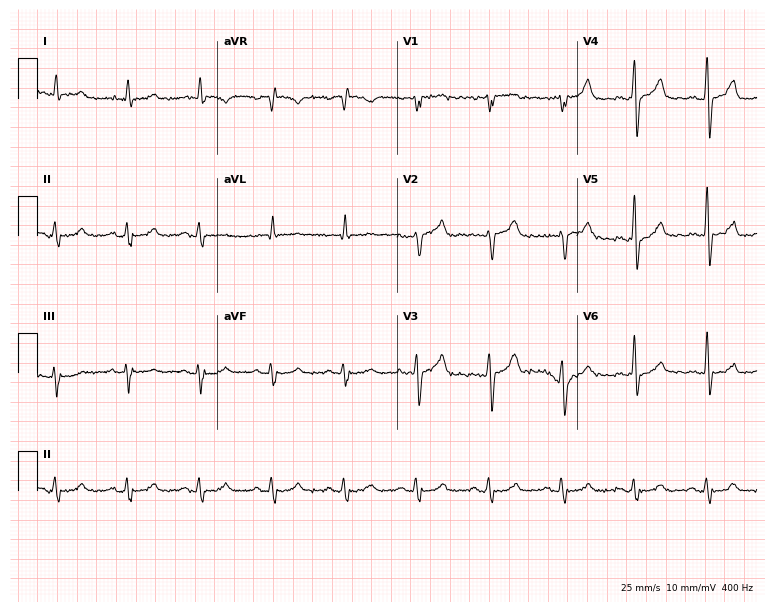
12-lead ECG (7.3-second recording at 400 Hz) from a 59-year-old man. Labelled as a normal ECG.